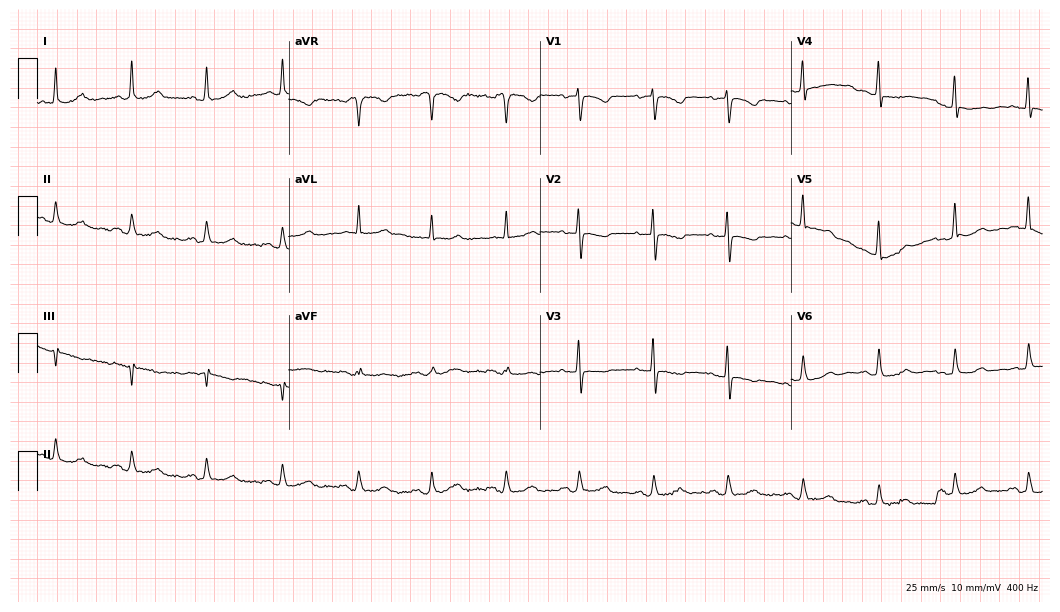
Electrocardiogram (10.2-second recording at 400 Hz), a female patient, 66 years old. Overall reading on record: normal ECG.